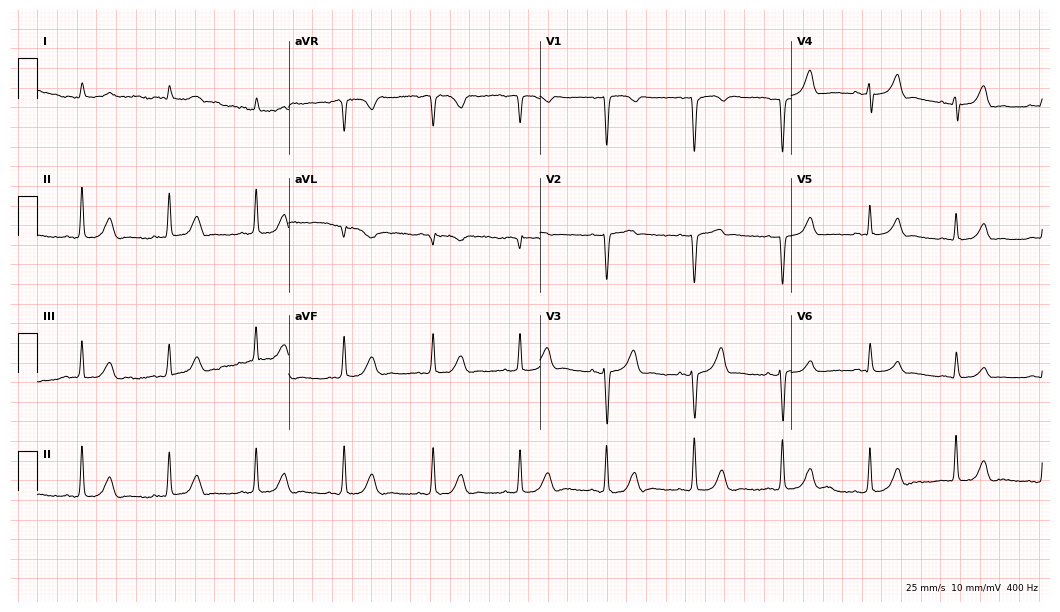
Standard 12-lead ECG recorded from a man, 74 years old (10.2-second recording at 400 Hz). None of these six findings is recorded: first-degree AV block, right bundle branch block, left bundle branch block, sinus bradycardia, atrial fibrillation, sinus tachycardia.